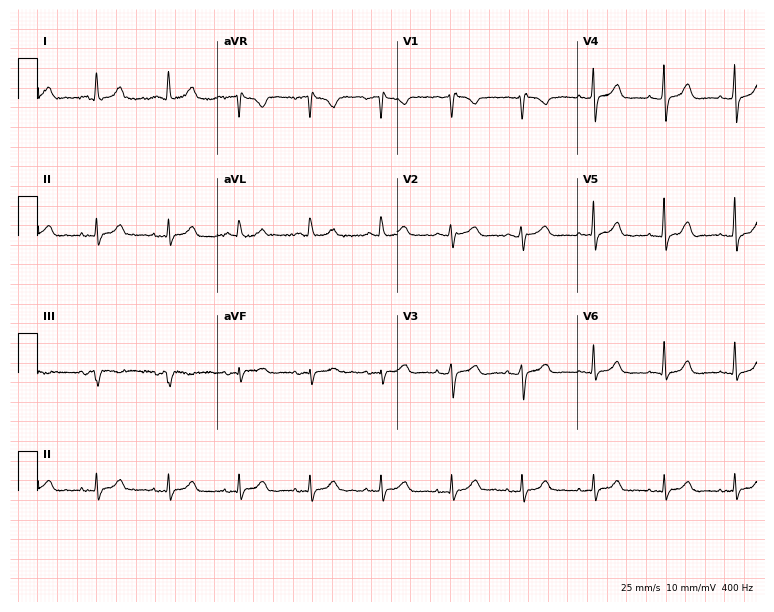
Electrocardiogram (7.3-second recording at 400 Hz), a female patient, 71 years old. Overall reading on record: normal ECG.